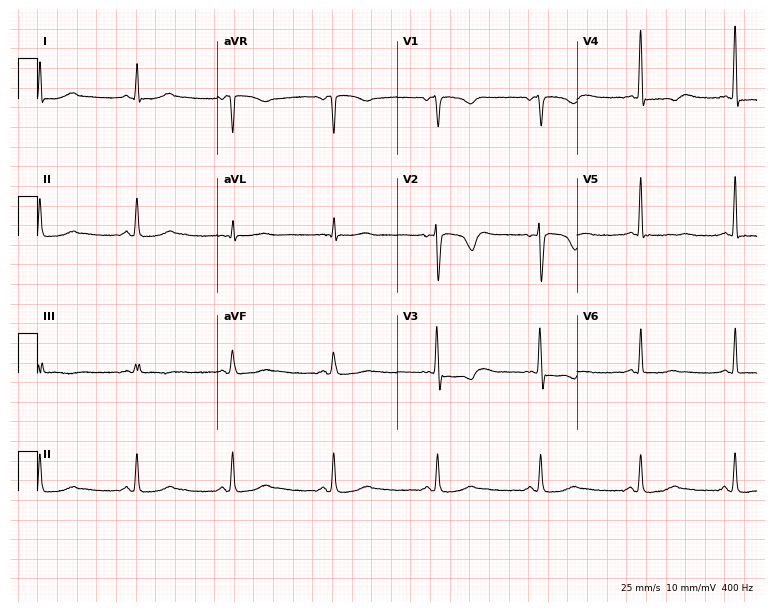
12-lead ECG from a female, 38 years old. Screened for six findings — first-degree AV block, right bundle branch block, left bundle branch block, sinus bradycardia, atrial fibrillation, sinus tachycardia — none is recorded.